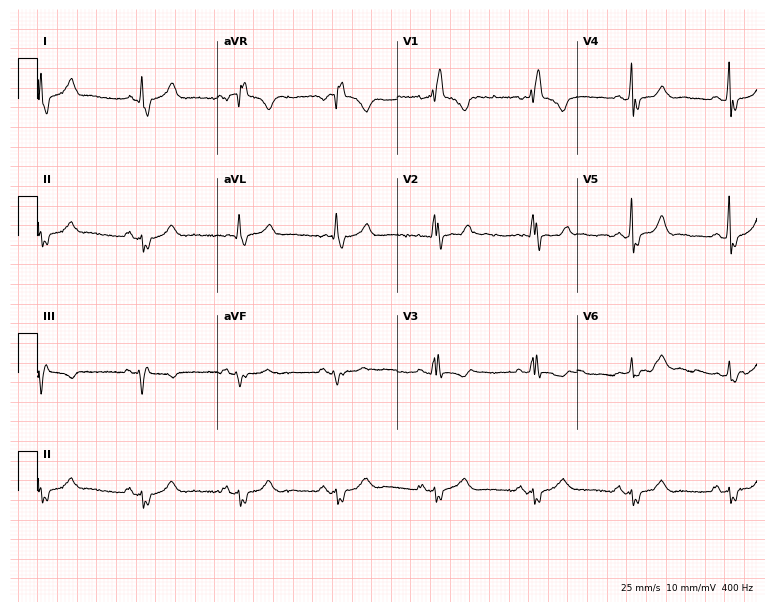
ECG — a 45-year-old female. Findings include right bundle branch block.